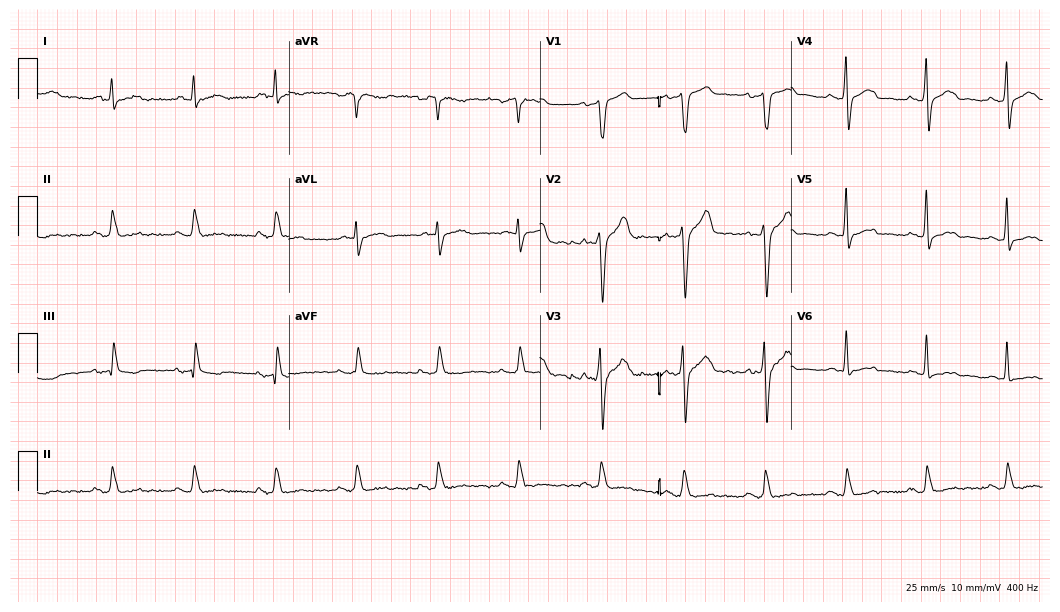
12-lead ECG (10.2-second recording at 400 Hz) from a male, 43 years old. Screened for six findings — first-degree AV block, right bundle branch block, left bundle branch block, sinus bradycardia, atrial fibrillation, sinus tachycardia — none is recorded.